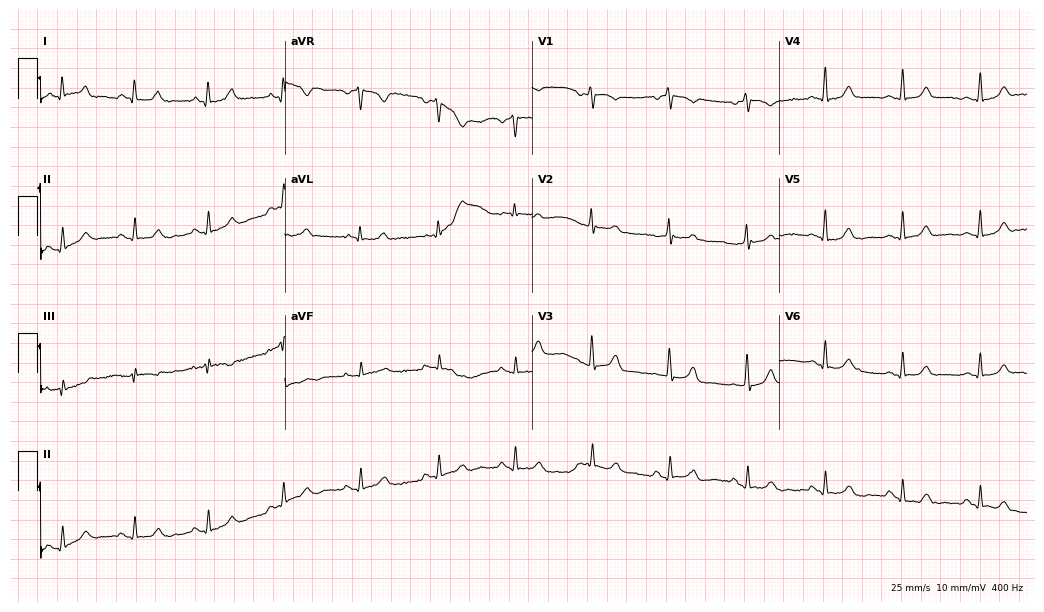
ECG (10.1-second recording at 400 Hz) — a 58-year-old female. Screened for six findings — first-degree AV block, right bundle branch block (RBBB), left bundle branch block (LBBB), sinus bradycardia, atrial fibrillation (AF), sinus tachycardia — none is recorded. Other findings, if any, are not listed.